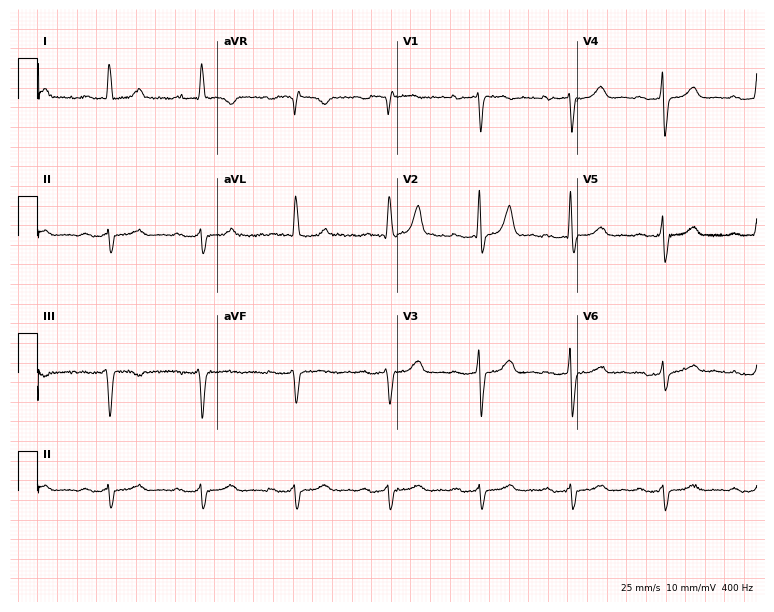
Electrocardiogram (7.3-second recording at 400 Hz), a female patient, 83 years old. Interpretation includes first-degree AV block.